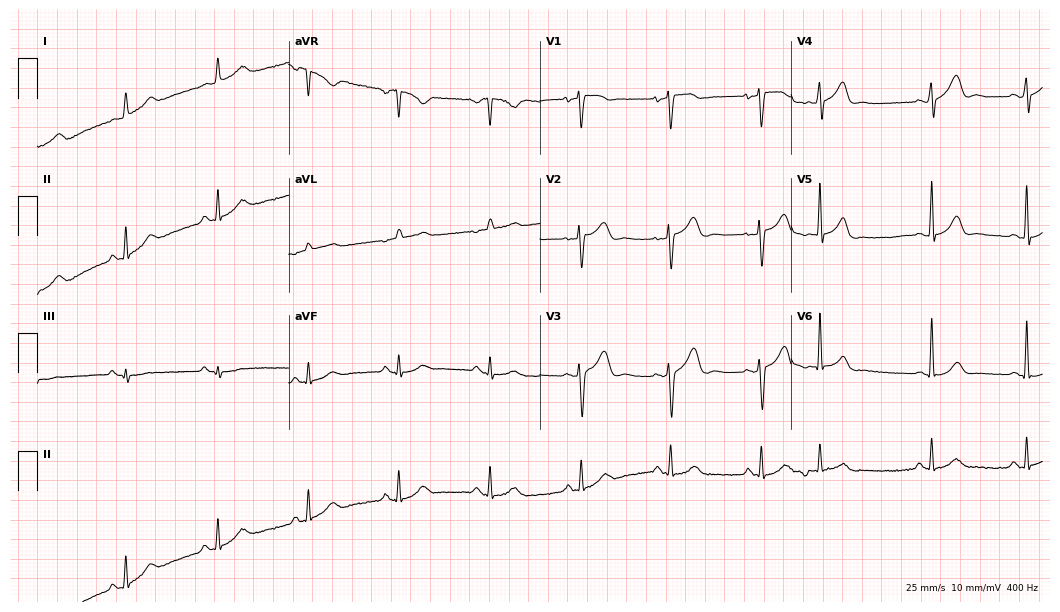
Resting 12-lead electrocardiogram. Patient: a 68-year-old female. None of these six findings is recorded: first-degree AV block, right bundle branch block, left bundle branch block, sinus bradycardia, atrial fibrillation, sinus tachycardia.